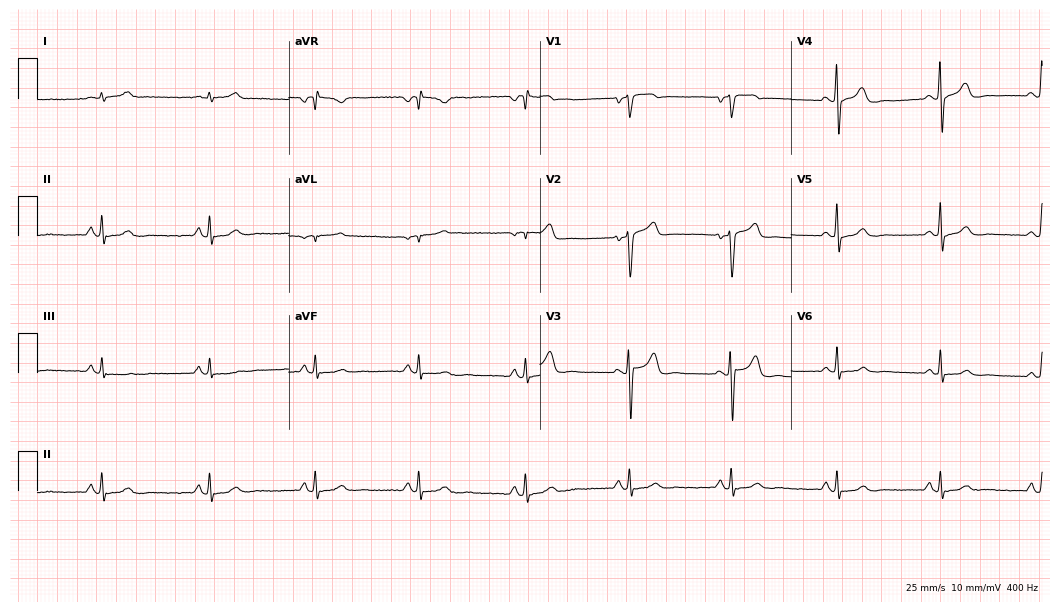
Resting 12-lead electrocardiogram (10.2-second recording at 400 Hz). Patient: a male, 35 years old. Read as a normal ECG.